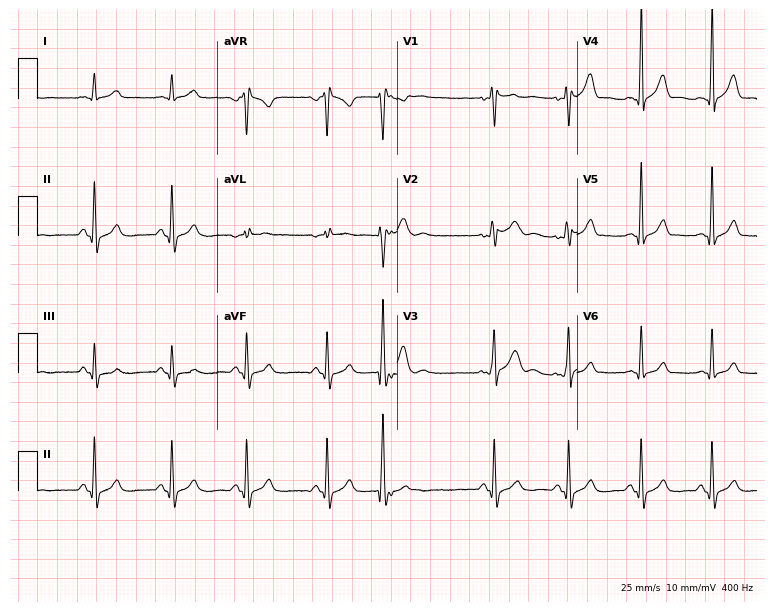
Resting 12-lead electrocardiogram. Patient: a man, 20 years old. None of these six findings is recorded: first-degree AV block, right bundle branch block, left bundle branch block, sinus bradycardia, atrial fibrillation, sinus tachycardia.